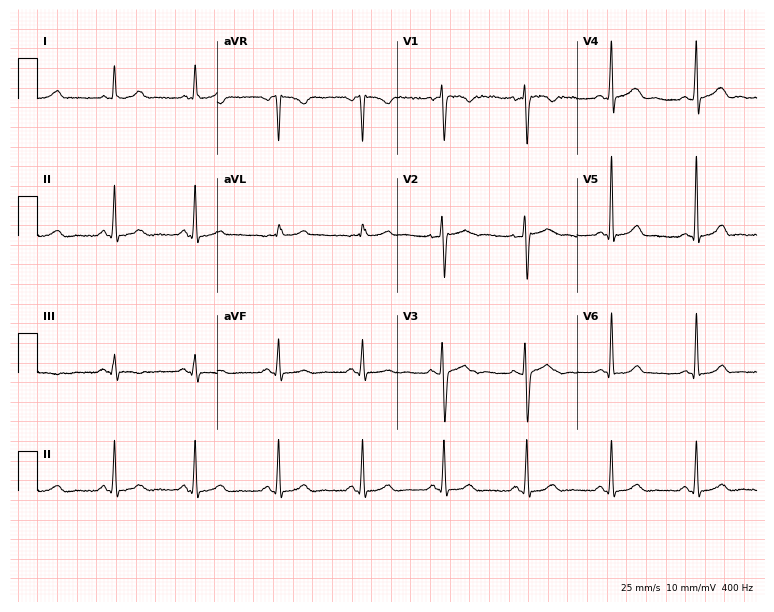
Electrocardiogram, a 39-year-old woman. Overall reading on record: normal ECG.